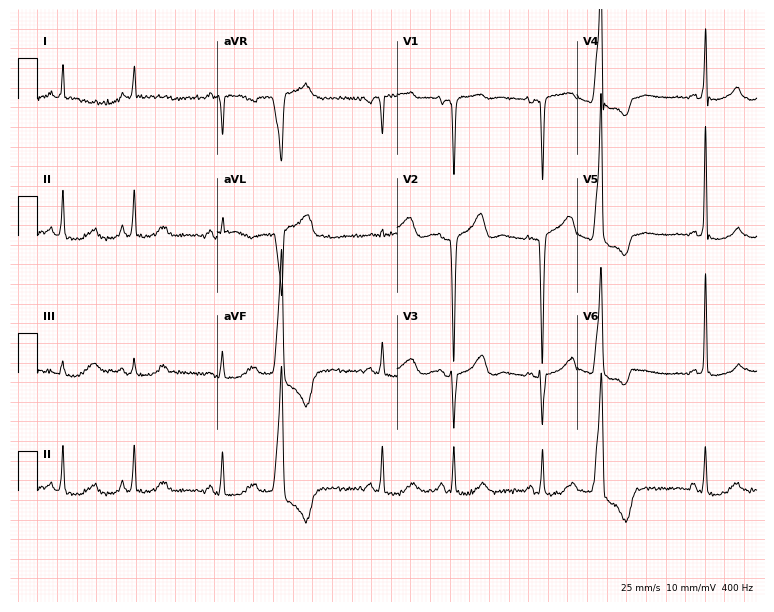
Resting 12-lead electrocardiogram. Patient: a 79-year-old female. None of these six findings is recorded: first-degree AV block, right bundle branch block, left bundle branch block, sinus bradycardia, atrial fibrillation, sinus tachycardia.